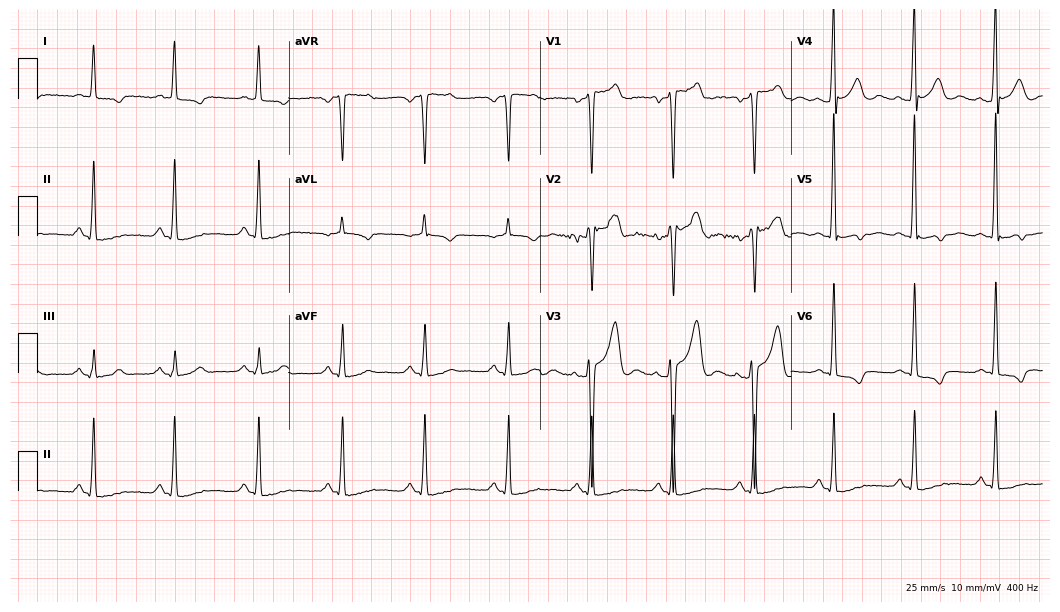
ECG — a male patient, 46 years old. Labelled as a normal ECG.